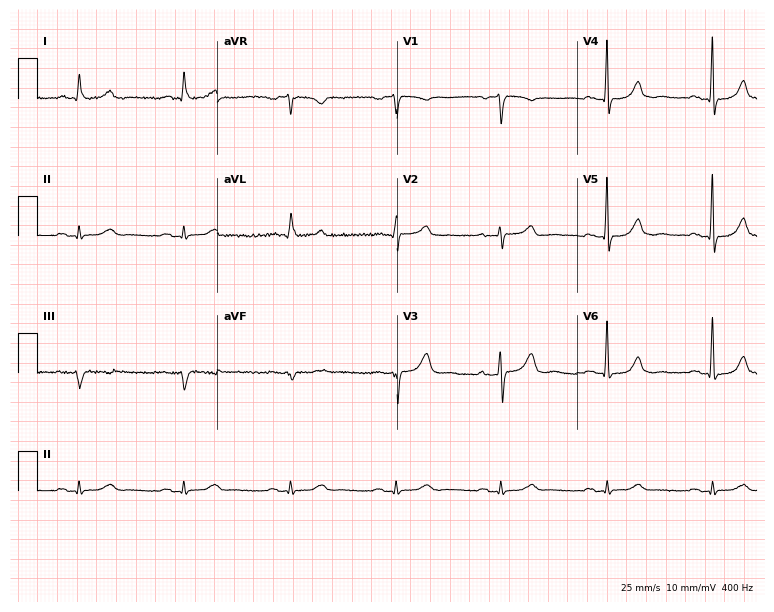
ECG (7.3-second recording at 400 Hz) — a male patient, 73 years old. Labelled as a normal ECG.